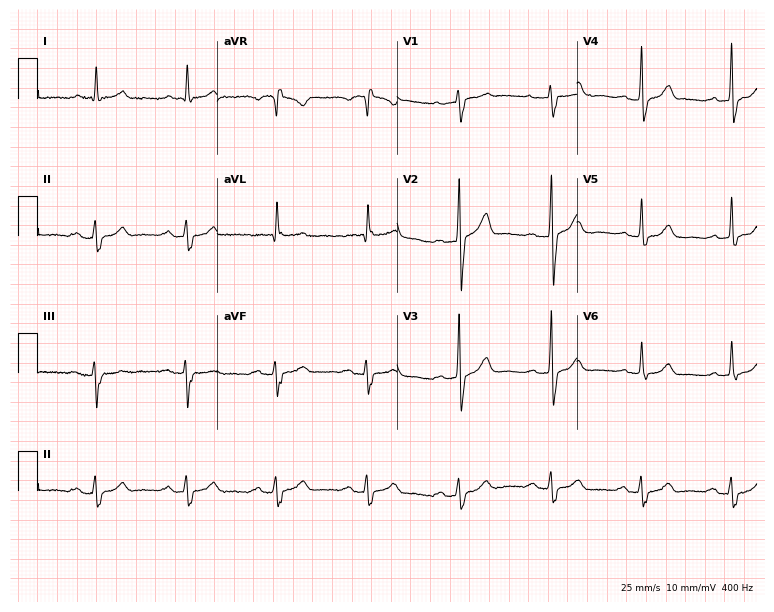
Electrocardiogram (7.3-second recording at 400 Hz), a male patient, 69 years old. Of the six screened findings (first-degree AV block, right bundle branch block, left bundle branch block, sinus bradycardia, atrial fibrillation, sinus tachycardia), none is recorded. Findings outside these six are not listed.